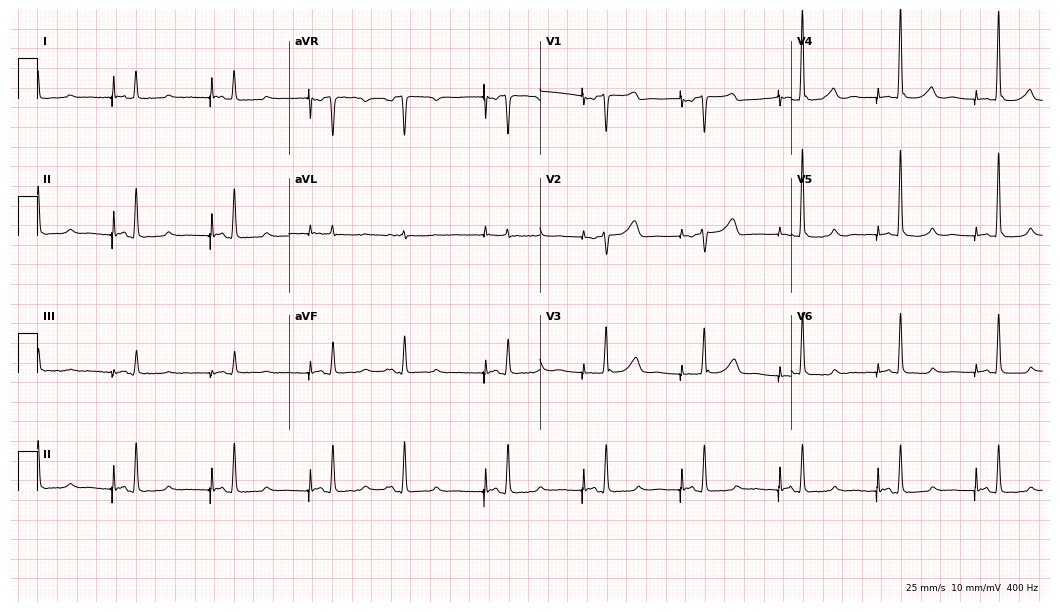
12-lead ECG from a woman, 73 years old. No first-degree AV block, right bundle branch block, left bundle branch block, sinus bradycardia, atrial fibrillation or sinus tachycardia recorded for this tracing.